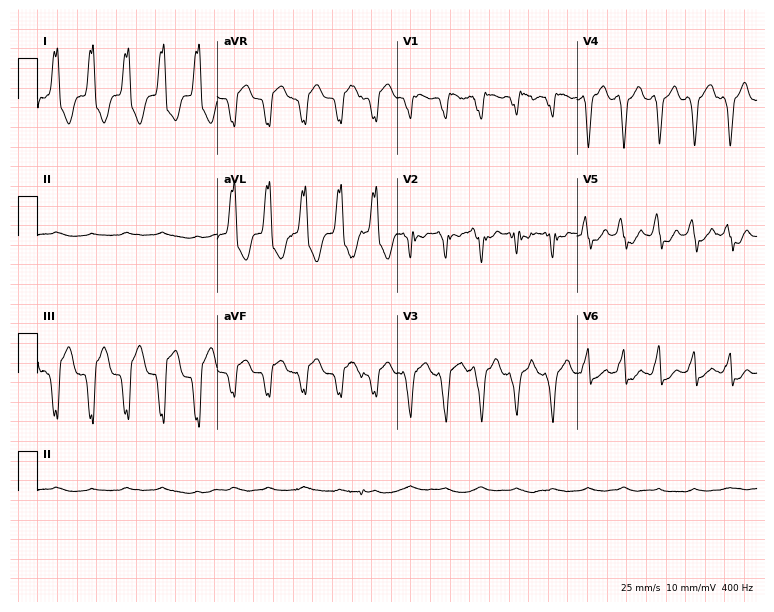
ECG (7.3-second recording at 400 Hz) — an 81-year-old male patient. Screened for six findings — first-degree AV block, right bundle branch block (RBBB), left bundle branch block (LBBB), sinus bradycardia, atrial fibrillation (AF), sinus tachycardia — none is recorded. Other findings, if any, are not listed.